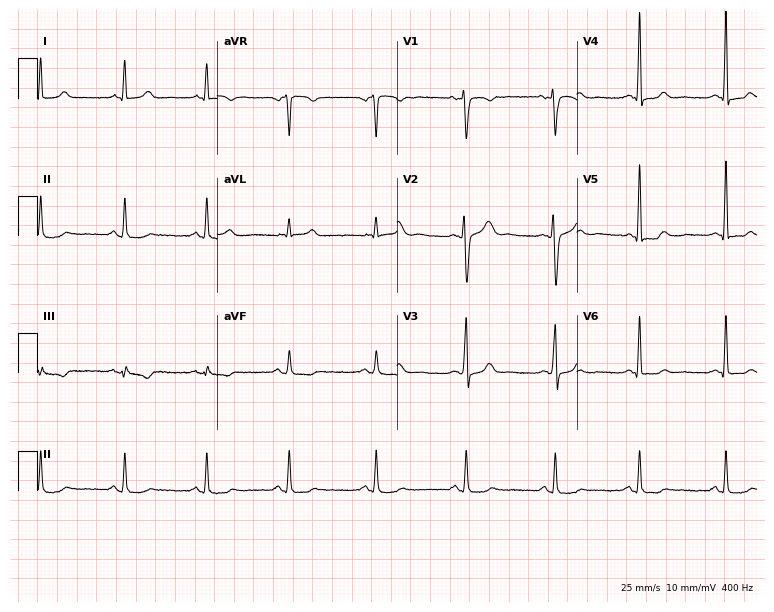
Standard 12-lead ECG recorded from a female, 43 years old (7.3-second recording at 400 Hz). None of these six findings is recorded: first-degree AV block, right bundle branch block, left bundle branch block, sinus bradycardia, atrial fibrillation, sinus tachycardia. Only these six findings were labelled.